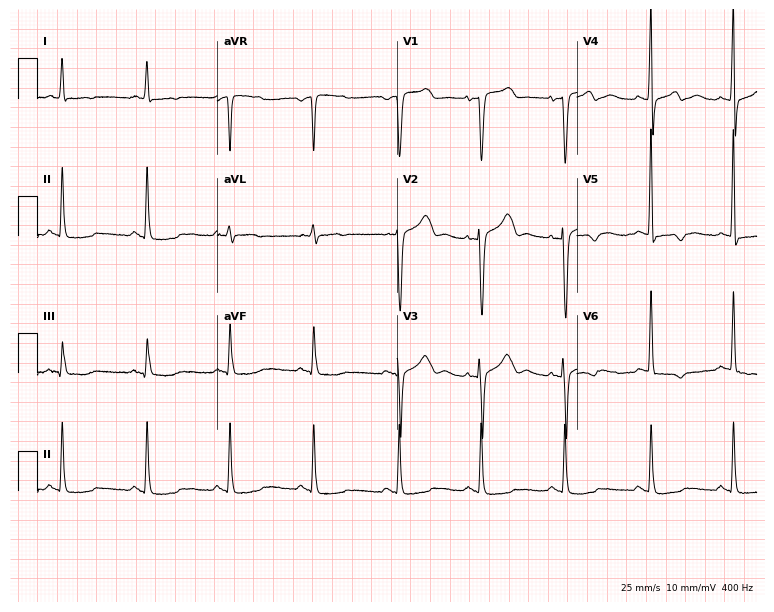
Resting 12-lead electrocardiogram. Patient: a 72-year-old female. None of these six findings is recorded: first-degree AV block, right bundle branch block, left bundle branch block, sinus bradycardia, atrial fibrillation, sinus tachycardia.